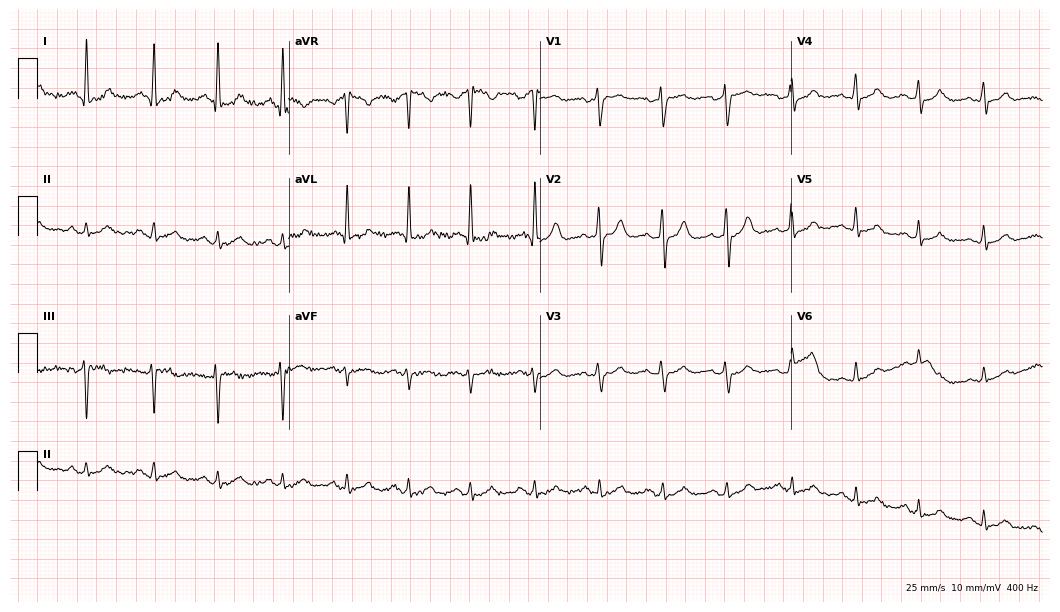
12-lead ECG (10.2-second recording at 400 Hz) from a 63-year-old female. Screened for six findings — first-degree AV block, right bundle branch block, left bundle branch block, sinus bradycardia, atrial fibrillation, sinus tachycardia — none is recorded.